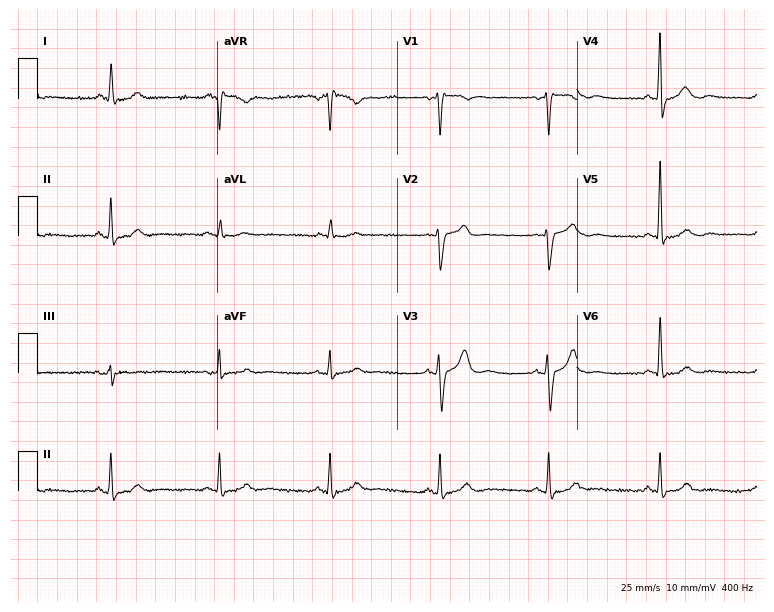
Standard 12-lead ECG recorded from a male patient, 61 years old. None of these six findings is recorded: first-degree AV block, right bundle branch block, left bundle branch block, sinus bradycardia, atrial fibrillation, sinus tachycardia.